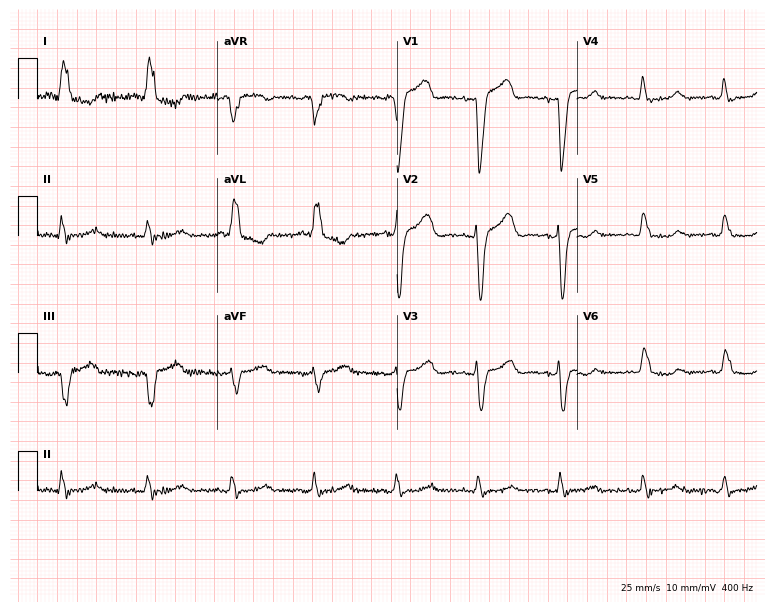
Resting 12-lead electrocardiogram (7.3-second recording at 400 Hz). Patient: a female, 67 years old. None of these six findings is recorded: first-degree AV block, right bundle branch block, left bundle branch block, sinus bradycardia, atrial fibrillation, sinus tachycardia. Findings outside these six are not listed.